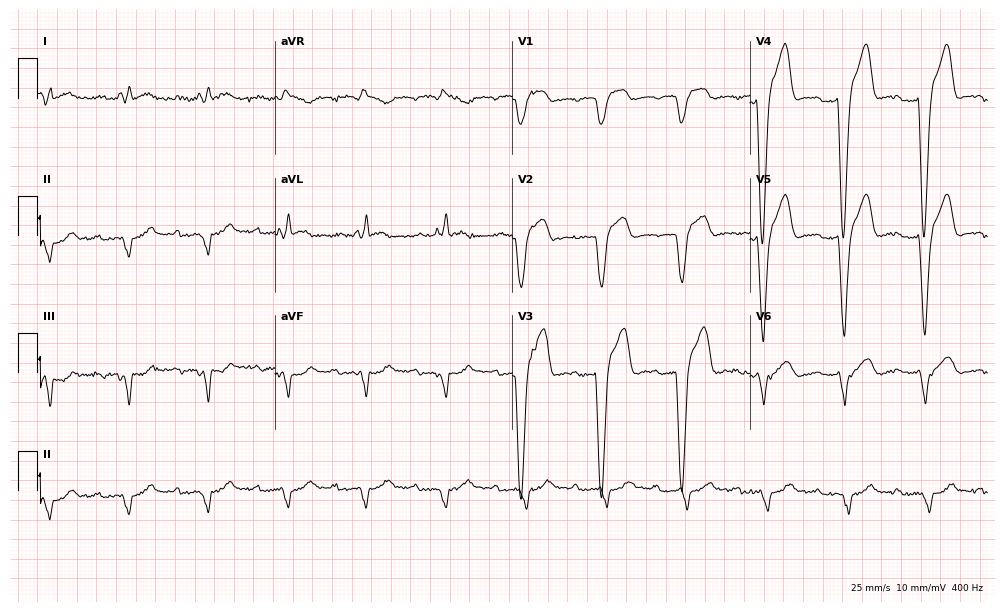
Resting 12-lead electrocardiogram (9.7-second recording at 400 Hz). Patient: a 77-year-old female. The tracing shows first-degree AV block.